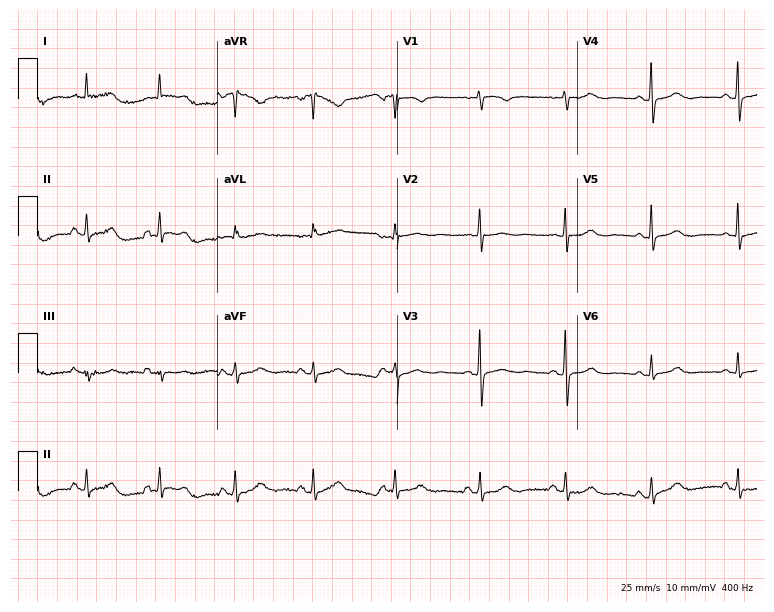
Resting 12-lead electrocardiogram. Patient: an 81-year-old female. Read as a normal ECG.